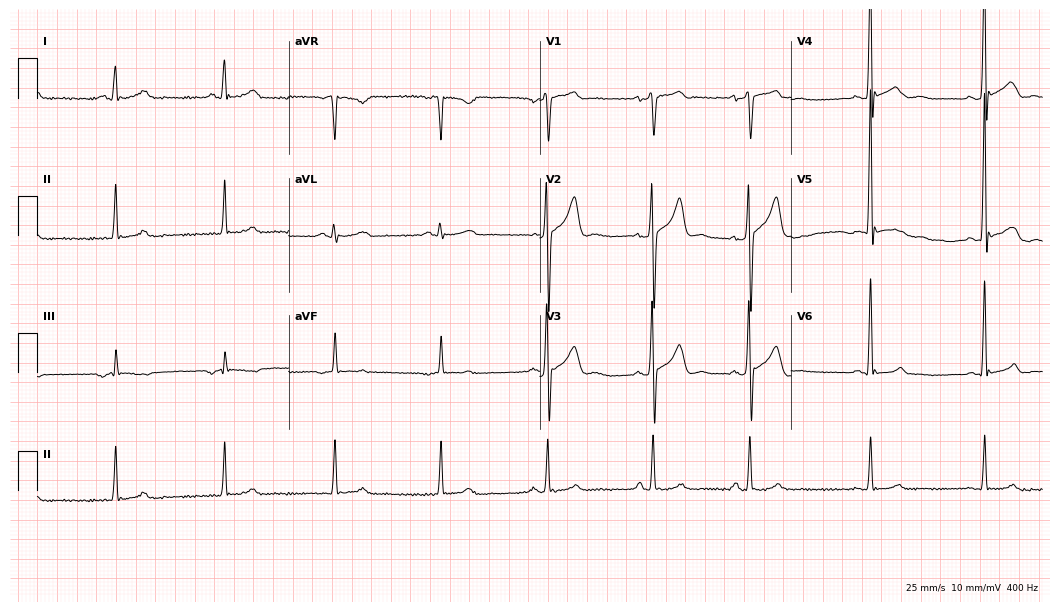
Standard 12-lead ECG recorded from a 55-year-old male patient. None of these six findings is recorded: first-degree AV block, right bundle branch block (RBBB), left bundle branch block (LBBB), sinus bradycardia, atrial fibrillation (AF), sinus tachycardia.